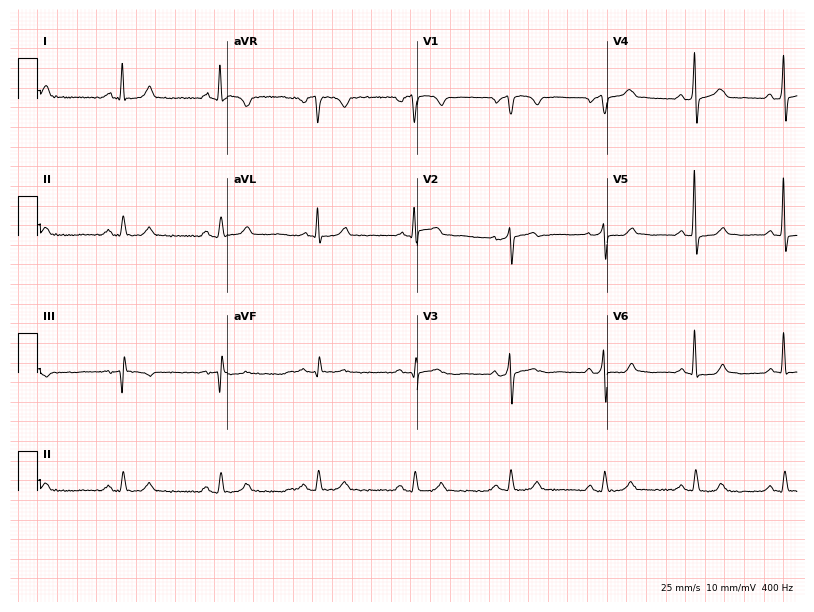
Electrocardiogram (7.7-second recording at 400 Hz), a man, 73 years old. Overall reading on record: normal ECG.